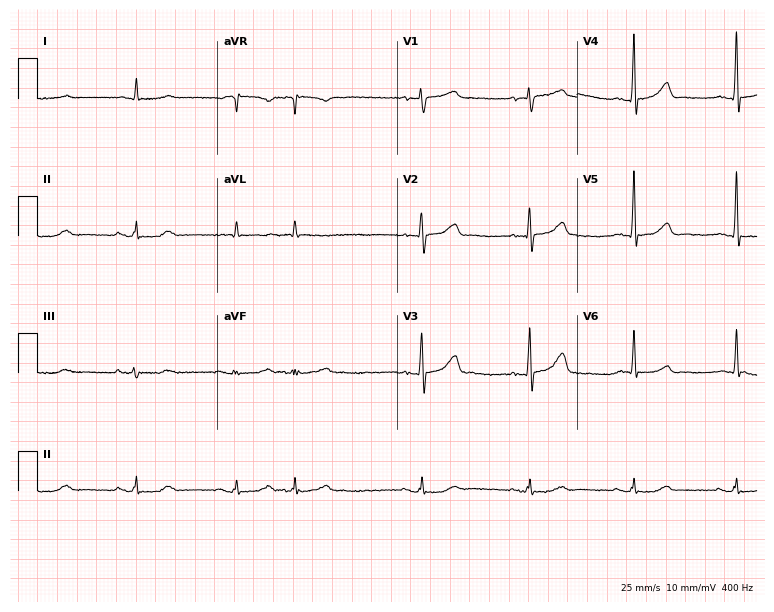
12-lead ECG from a male patient, 85 years old (7.3-second recording at 400 Hz). No first-degree AV block, right bundle branch block, left bundle branch block, sinus bradycardia, atrial fibrillation or sinus tachycardia recorded for this tracing.